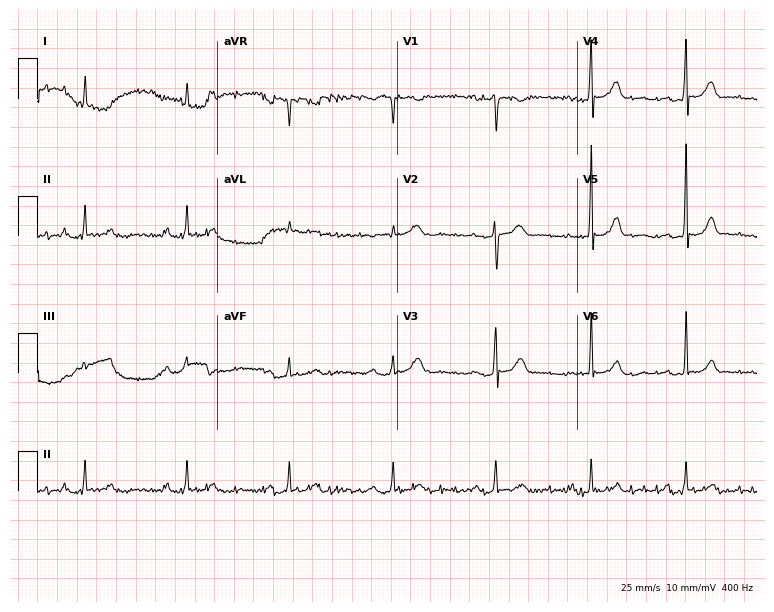
12-lead ECG (7.3-second recording at 400 Hz) from a female, 31 years old. Labelled as a normal ECG.